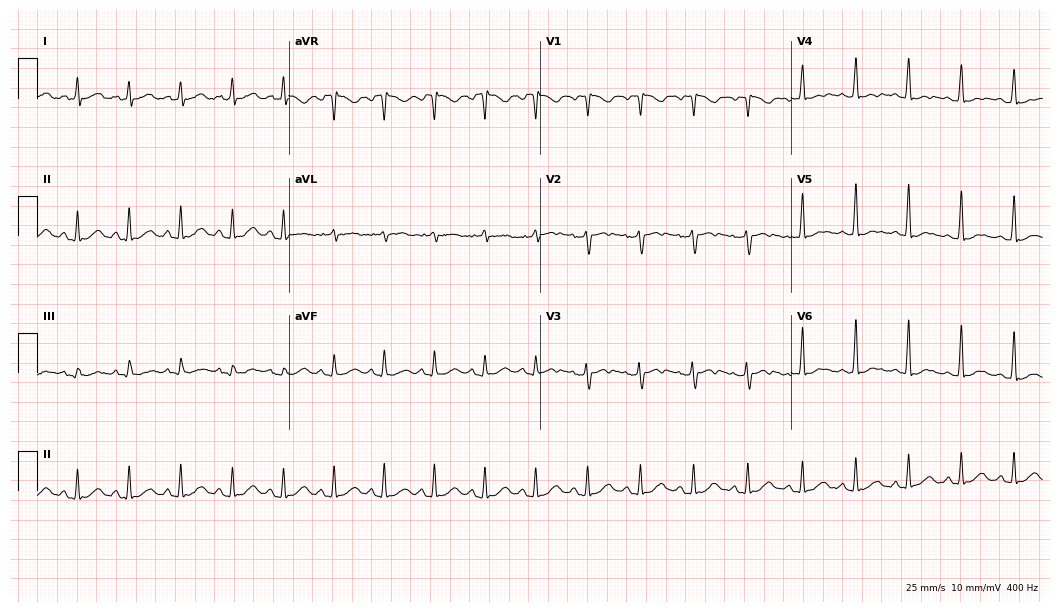
12-lead ECG from a female patient, 19 years old (10.2-second recording at 400 Hz). Shows sinus tachycardia (a sinus rate of 100 beats per minute or more).